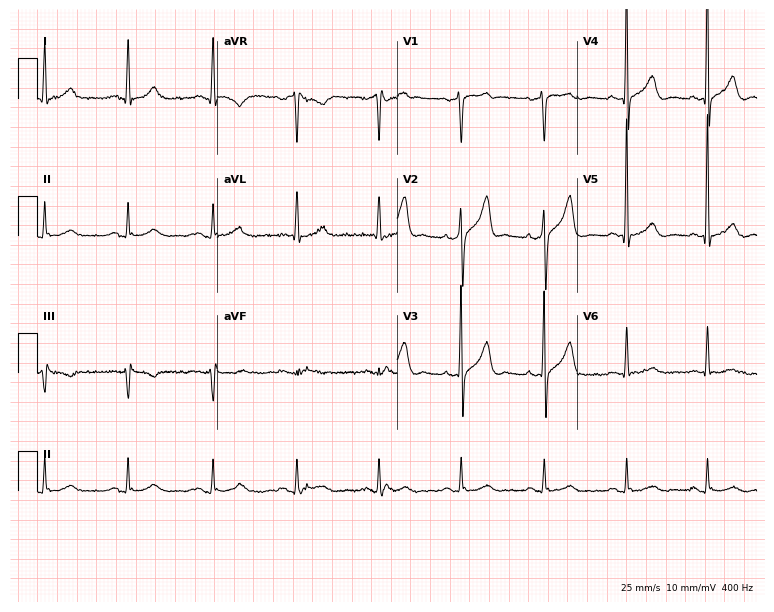
Electrocardiogram, a man, 68 years old. Overall reading on record: normal ECG.